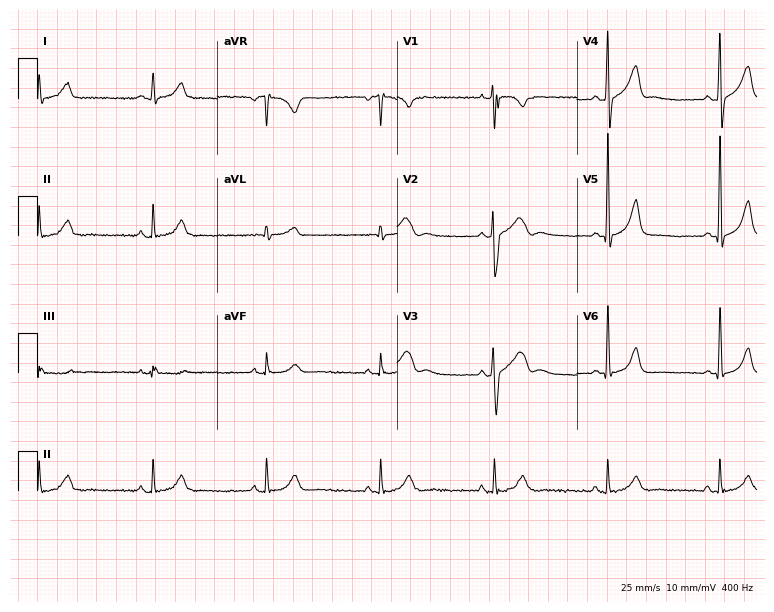
ECG (7.3-second recording at 400 Hz) — a 37-year-old male patient. Screened for six findings — first-degree AV block, right bundle branch block, left bundle branch block, sinus bradycardia, atrial fibrillation, sinus tachycardia — none is recorded.